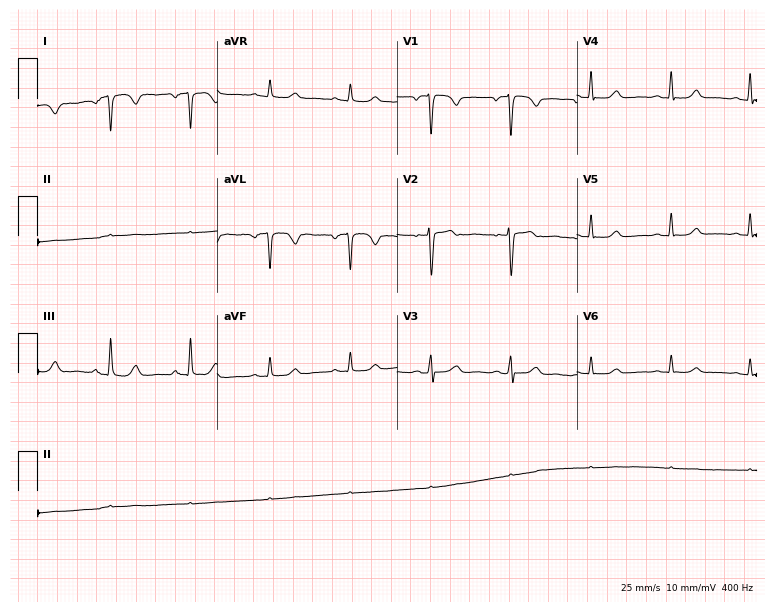
12-lead ECG from a 55-year-old female patient. Screened for six findings — first-degree AV block, right bundle branch block (RBBB), left bundle branch block (LBBB), sinus bradycardia, atrial fibrillation (AF), sinus tachycardia — none is recorded.